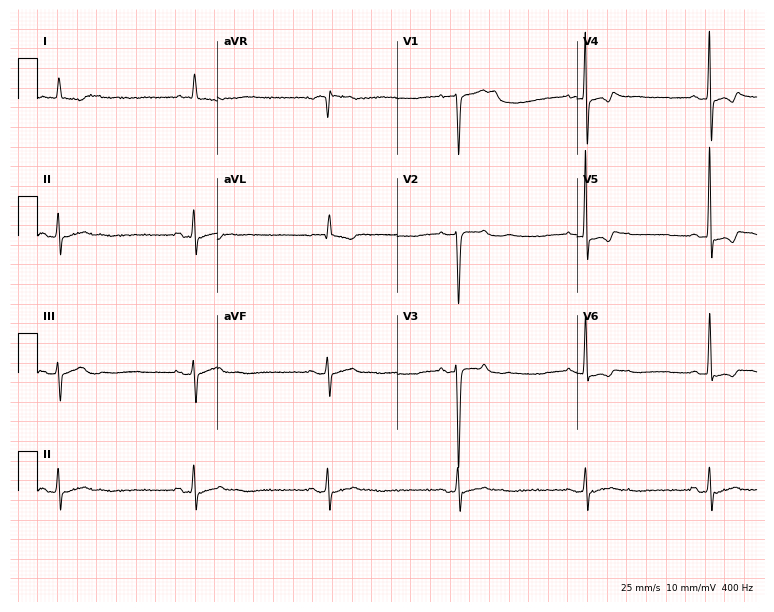
12-lead ECG from a woman, 76 years old (7.3-second recording at 400 Hz). Shows sinus bradycardia (a sinus rate of 50 beats per minute or less).